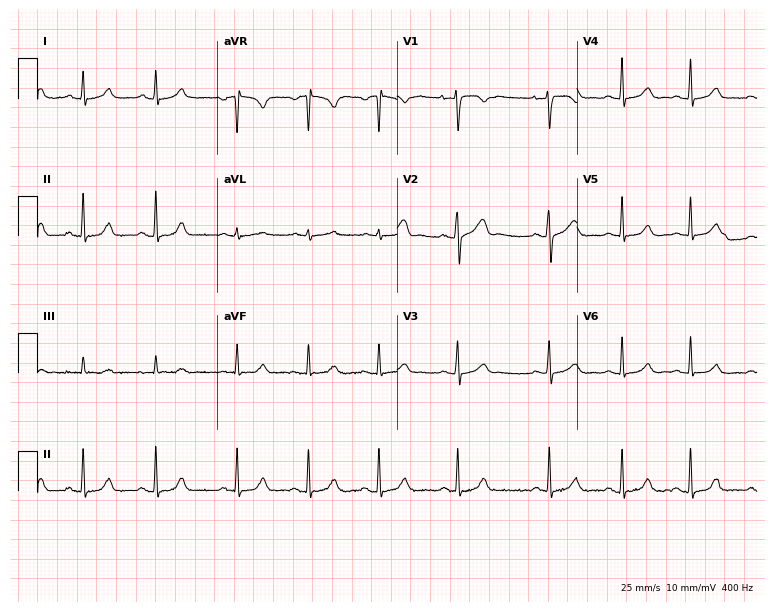
Resting 12-lead electrocardiogram. Patient: a 20-year-old female. None of these six findings is recorded: first-degree AV block, right bundle branch block, left bundle branch block, sinus bradycardia, atrial fibrillation, sinus tachycardia. Findings outside these six are not listed.